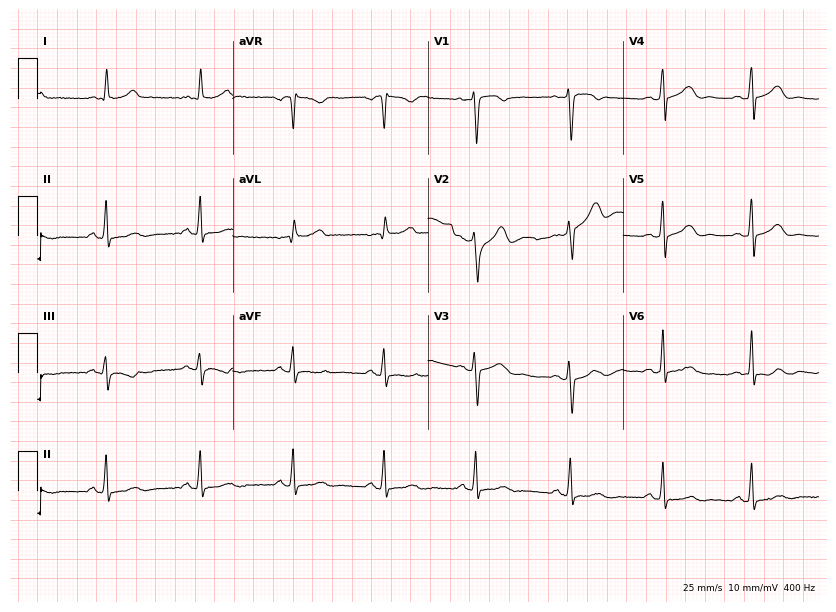
Resting 12-lead electrocardiogram. Patient: a 50-year-old woman. None of these six findings is recorded: first-degree AV block, right bundle branch block, left bundle branch block, sinus bradycardia, atrial fibrillation, sinus tachycardia. Other findings, if any, are not listed.